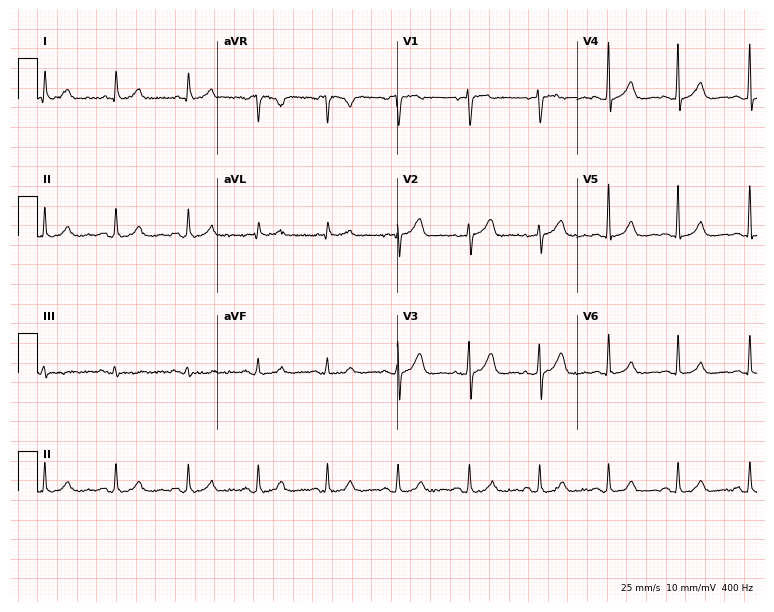
12-lead ECG from a 61-year-old female (7.3-second recording at 400 Hz). Recorded interpretation: within normal limits.